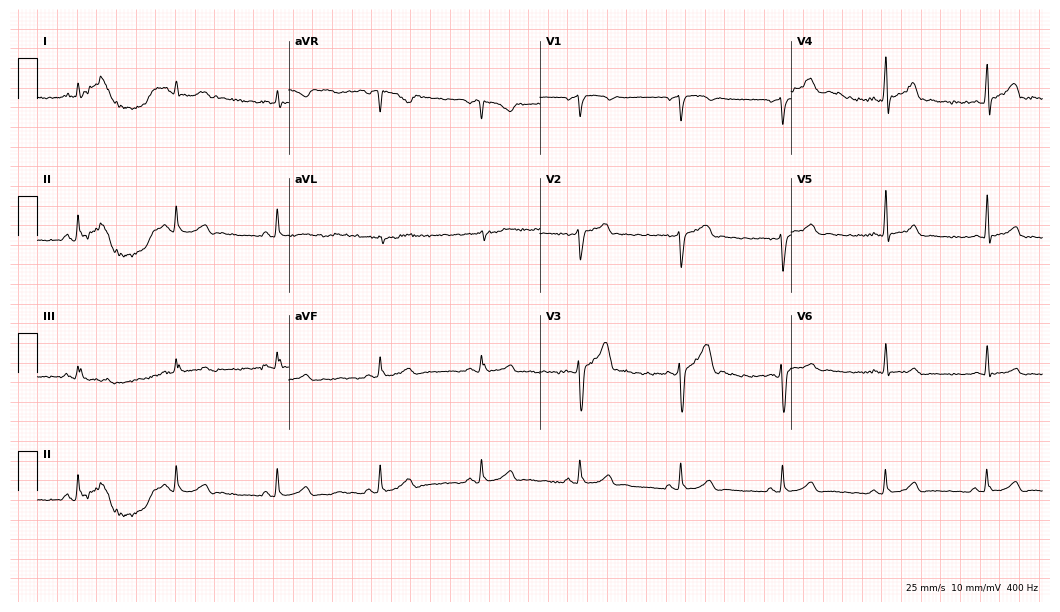
Electrocardiogram, a 44-year-old male. Overall reading on record: normal ECG.